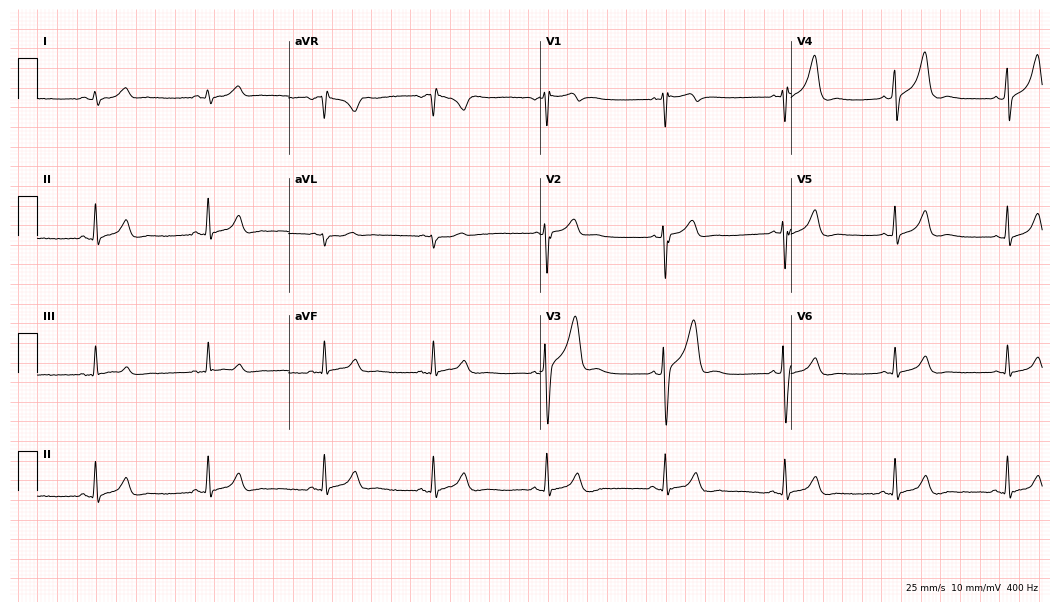
Standard 12-lead ECG recorded from a 33-year-old male. Read as a normal ECG.